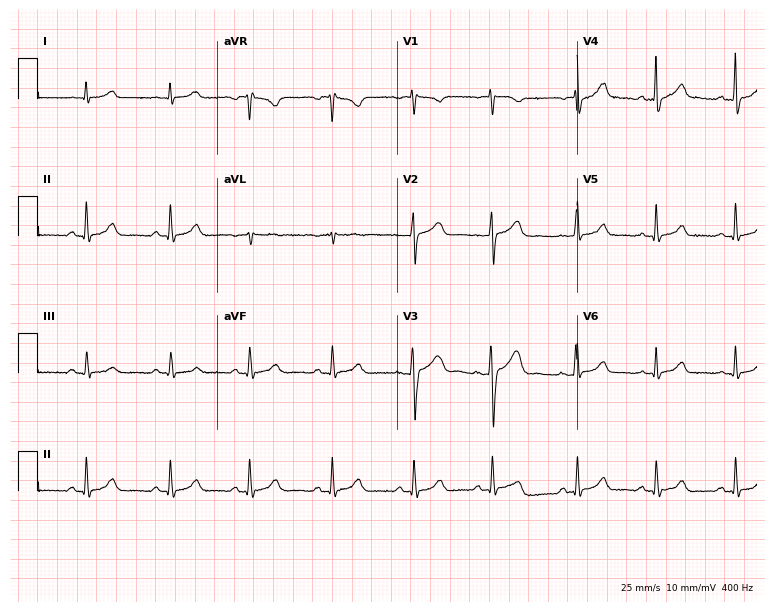
Electrocardiogram (7.3-second recording at 400 Hz), a female patient, 31 years old. Overall reading on record: normal ECG.